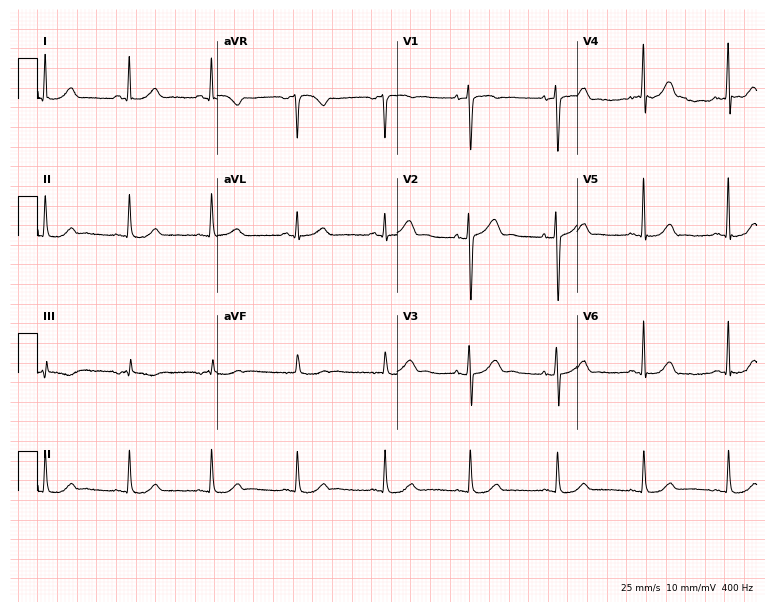
ECG (7.3-second recording at 400 Hz) — a female patient, 50 years old. Screened for six findings — first-degree AV block, right bundle branch block, left bundle branch block, sinus bradycardia, atrial fibrillation, sinus tachycardia — none is recorded. Only these six findings were labelled.